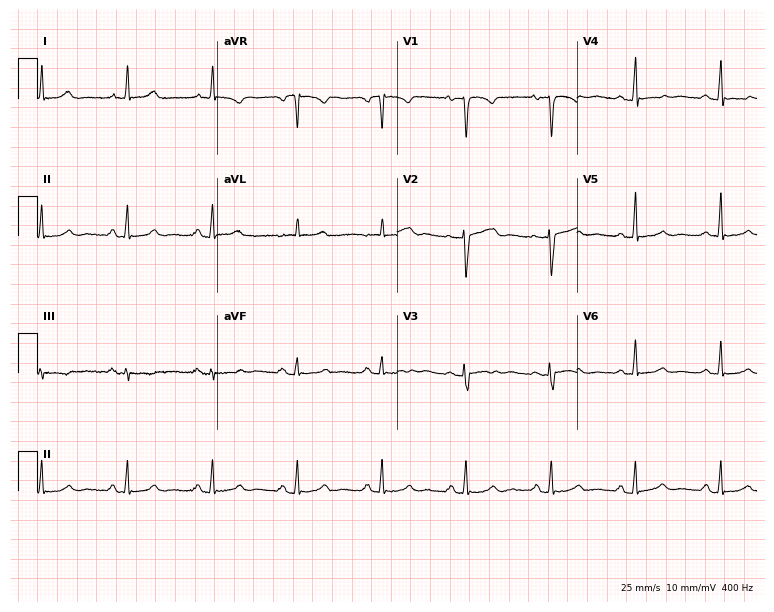
Standard 12-lead ECG recorded from a female patient, 48 years old. None of these six findings is recorded: first-degree AV block, right bundle branch block (RBBB), left bundle branch block (LBBB), sinus bradycardia, atrial fibrillation (AF), sinus tachycardia.